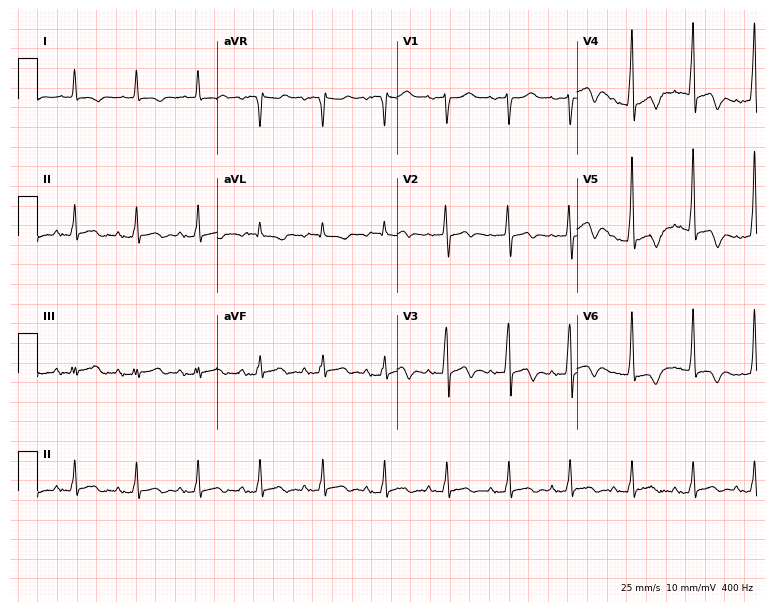
Standard 12-lead ECG recorded from an 80-year-old male patient. None of these six findings is recorded: first-degree AV block, right bundle branch block (RBBB), left bundle branch block (LBBB), sinus bradycardia, atrial fibrillation (AF), sinus tachycardia. Only these six findings were labelled.